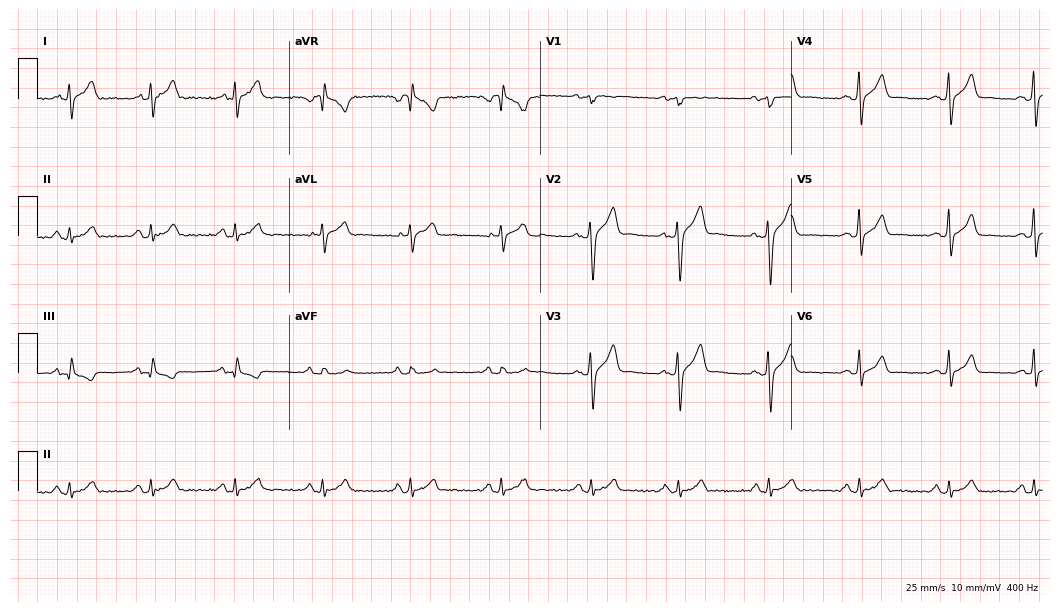
ECG — a male patient, 17 years old. Labelled as a normal ECG.